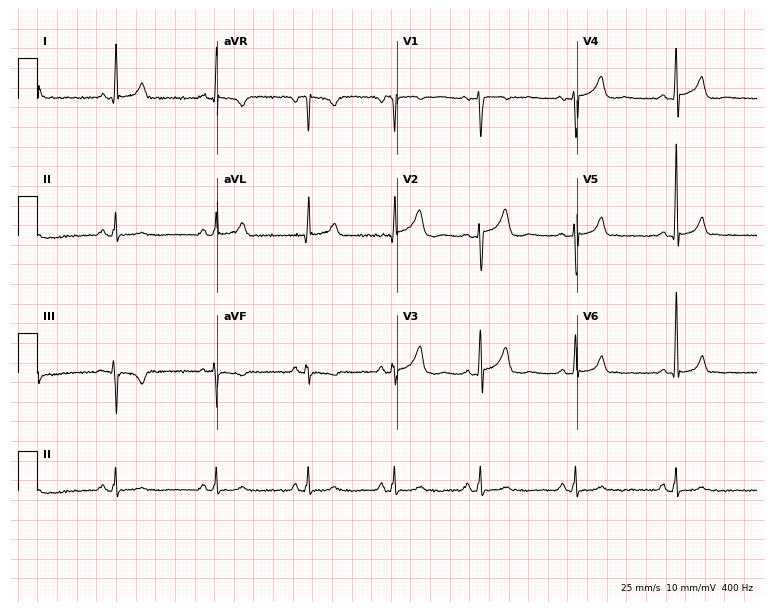
Electrocardiogram (7.3-second recording at 400 Hz), a 33-year-old male patient. Of the six screened findings (first-degree AV block, right bundle branch block (RBBB), left bundle branch block (LBBB), sinus bradycardia, atrial fibrillation (AF), sinus tachycardia), none is recorded.